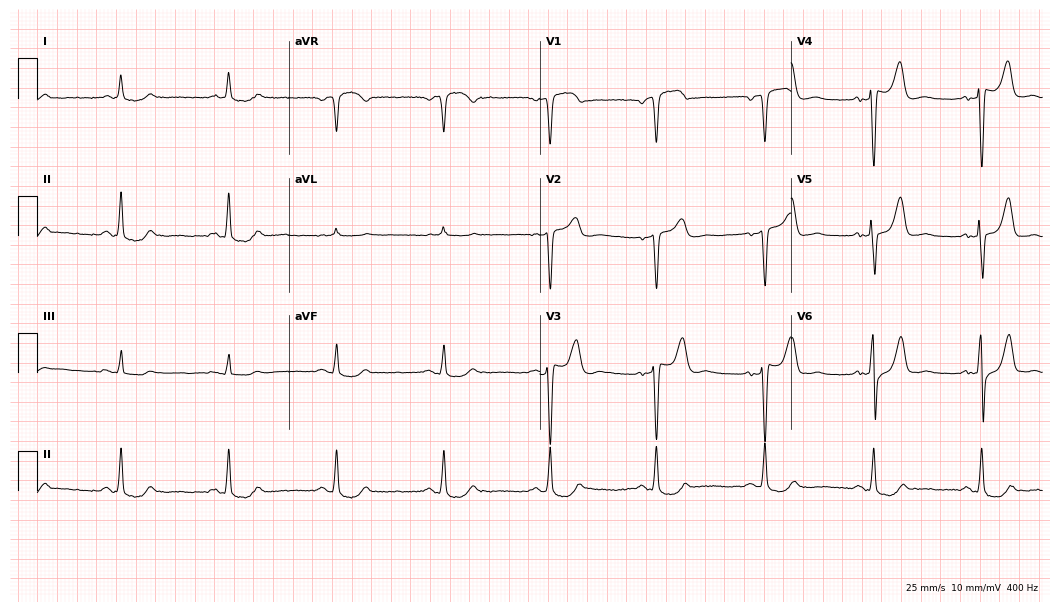
12-lead ECG from a man, 68 years old. No first-degree AV block, right bundle branch block, left bundle branch block, sinus bradycardia, atrial fibrillation or sinus tachycardia recorded for this tracing.